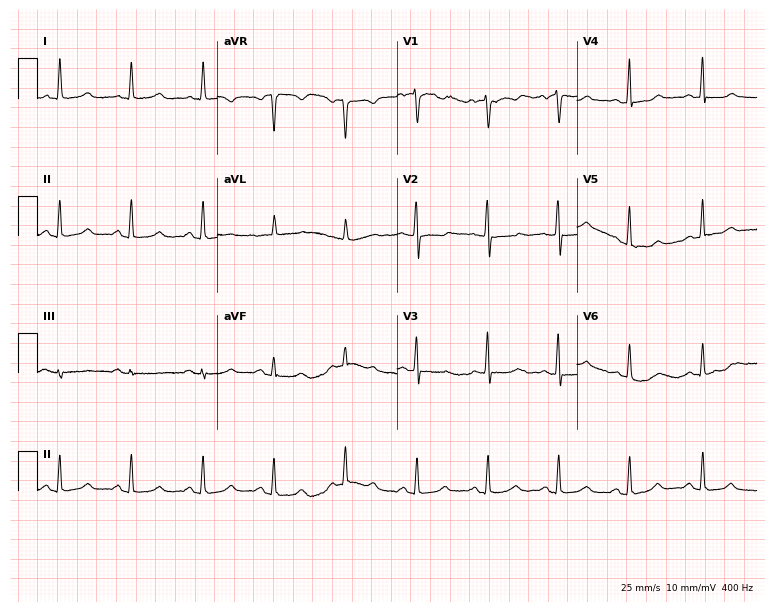
Standard 12-lead ECG recorded from a 66-year-old woman (7.3-second recording at 400 Hz). Read as a normal ECG.